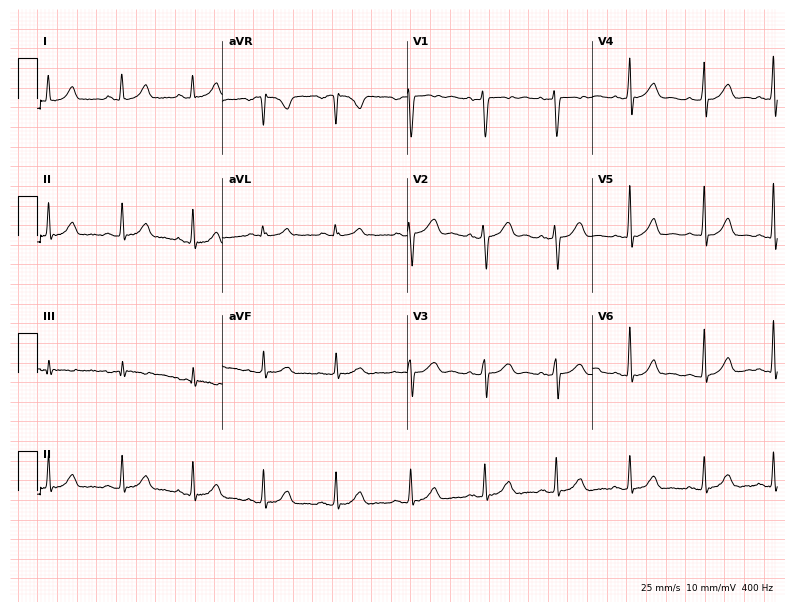
Electrocardiogram, a 24-year-old woman. Overall reading on record: normal ECG.